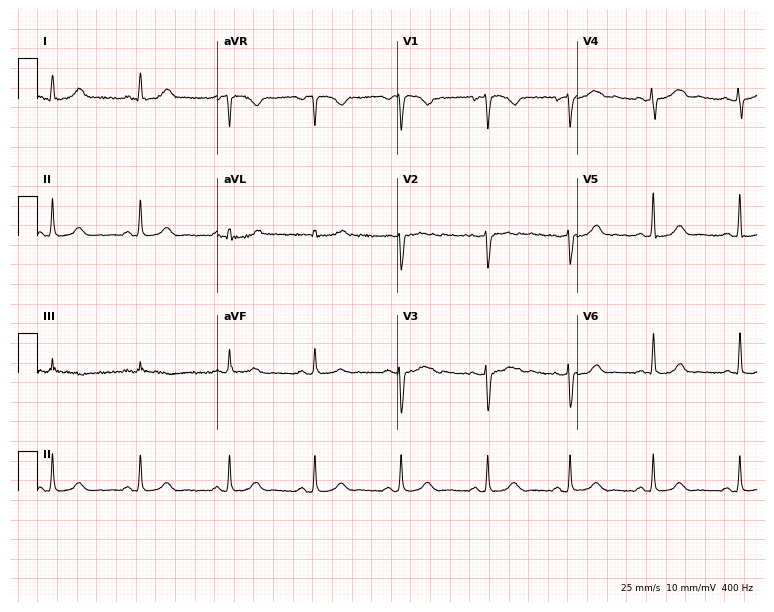
12-lead ECG from a female, 40 years old. Recorded interpretation: within normal limits.